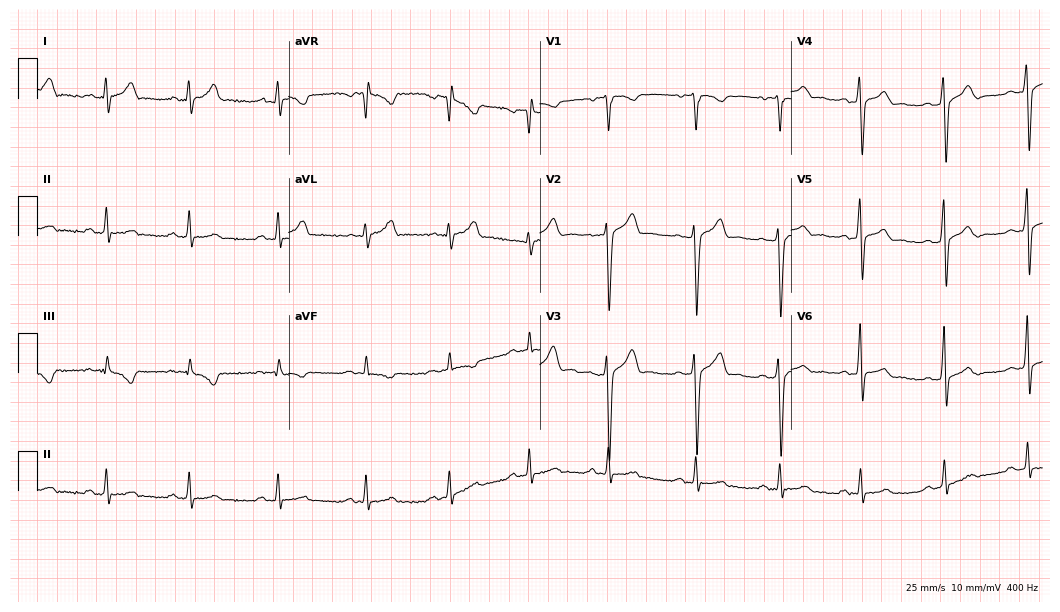
Standard 12-lead ECG recorded from a 31-year-old male. Read as a normal ECG.